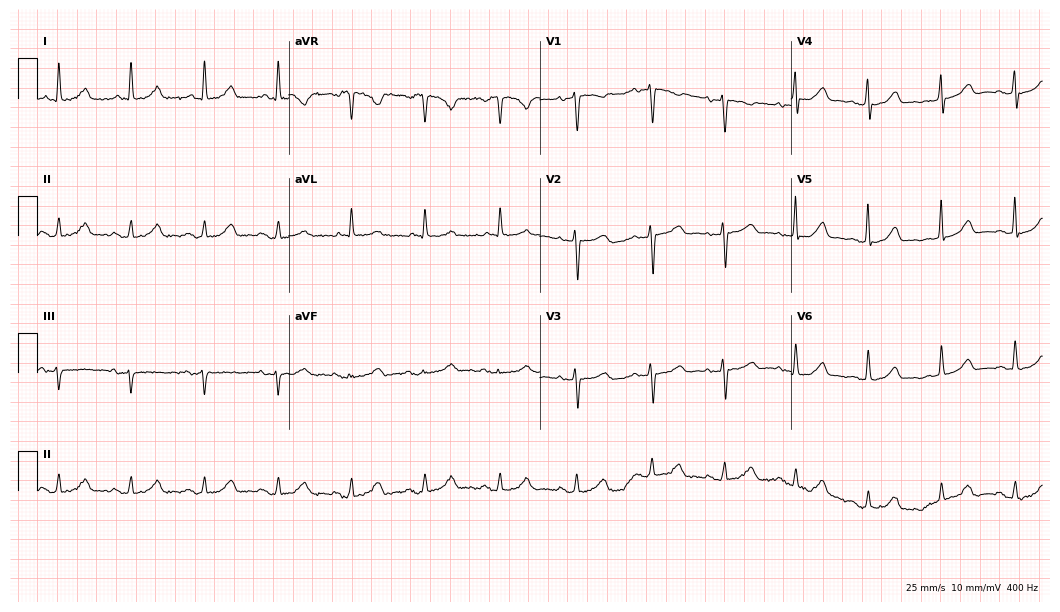
12-lead ECG from a female patient, 67 years old (10.2-second recording at 400 Hz). No first-degree AV block, right bundle branch block (RBBB), left bundle branch block (LBBB), sinus bradycardia, atrial fibrillation (AF) or sinus tachycardia recorded for this tracing.